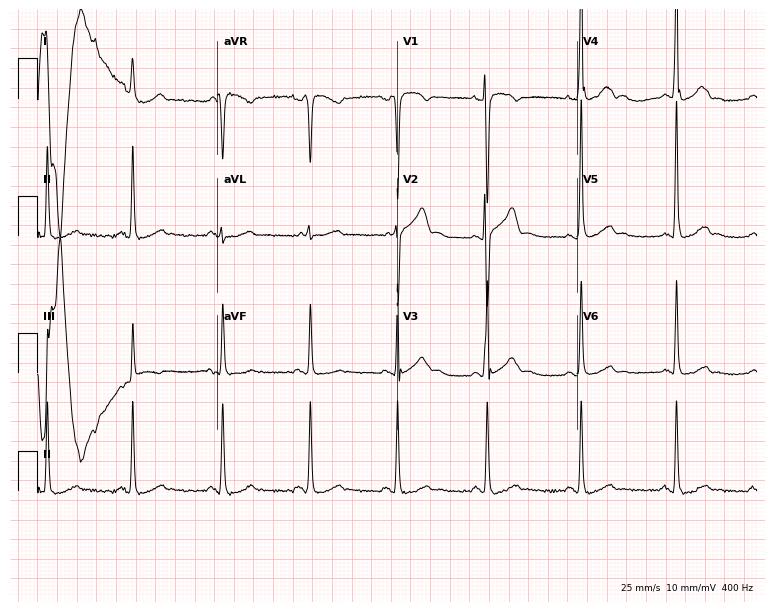
Resting 12-lead electrocardiogram (7.3-second recording at 400 Hz). Patient: a male, 53 years old. None of these six findings is recorded: first-degree AV block, right bundle branch block, left bundle branch block, sinus bradycardia, atrial fibrillation, sinus tachycardia.